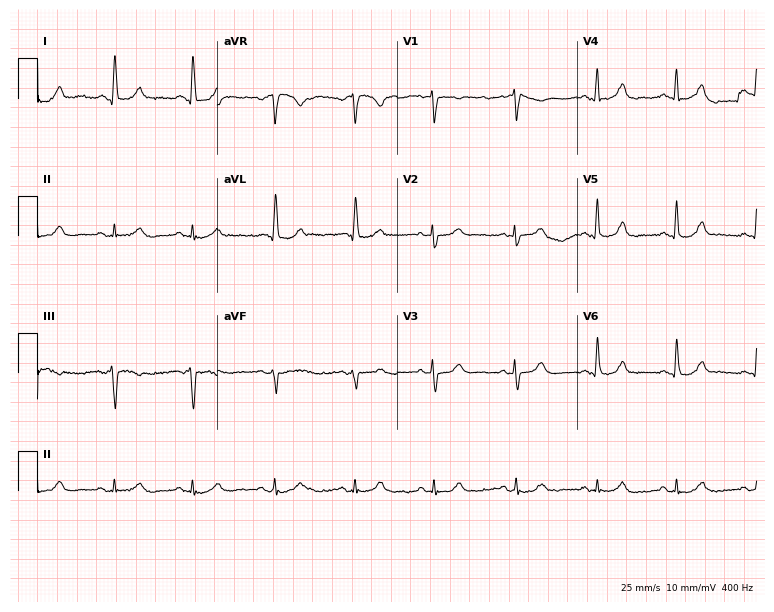
ECG — an 85-year-old female. Screened for six findings — first-degree AV block, right bundle branch block (RBBB), left bundle branch block (LBBB), sinus bradycardia, atrial fibrillation (AF), sinus tachycardia — none is recorded.